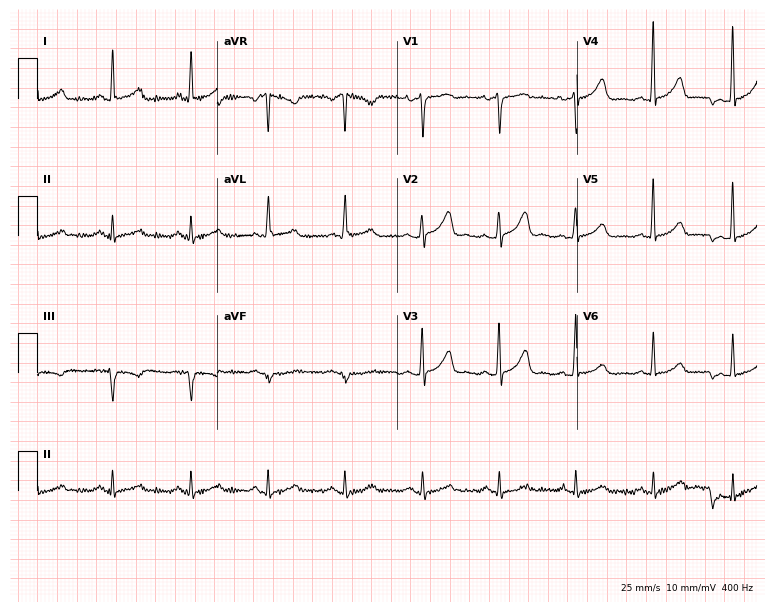
Standard 12-lead ECG recorded from a woman, 44 years old. None of these six findings is recorded: first-degree AV block, right bundle branch block, left bundle branch block, sinus bradycardia, atrial fibrillation, sinus tachycardia. Only these six findings were labelled.